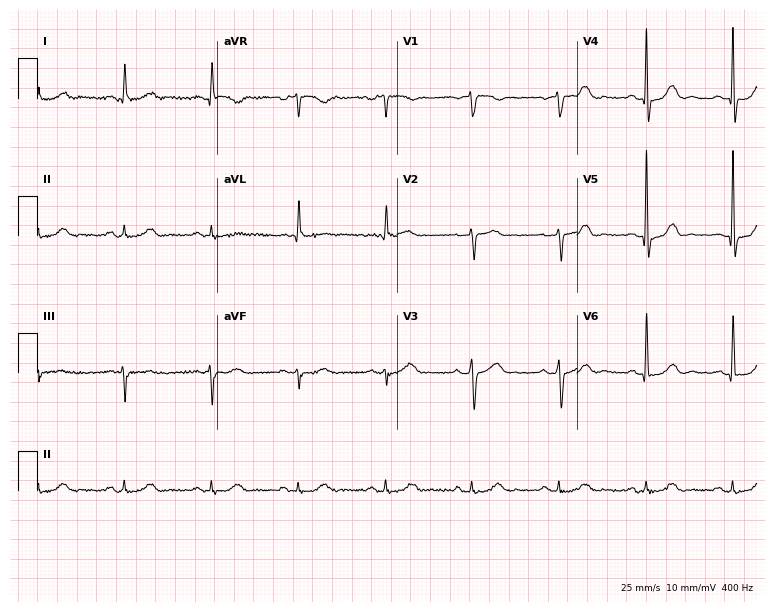
Resting 12-lead electrocardiogram. Patient: an 80-year-old male. Read as a normal ECG.